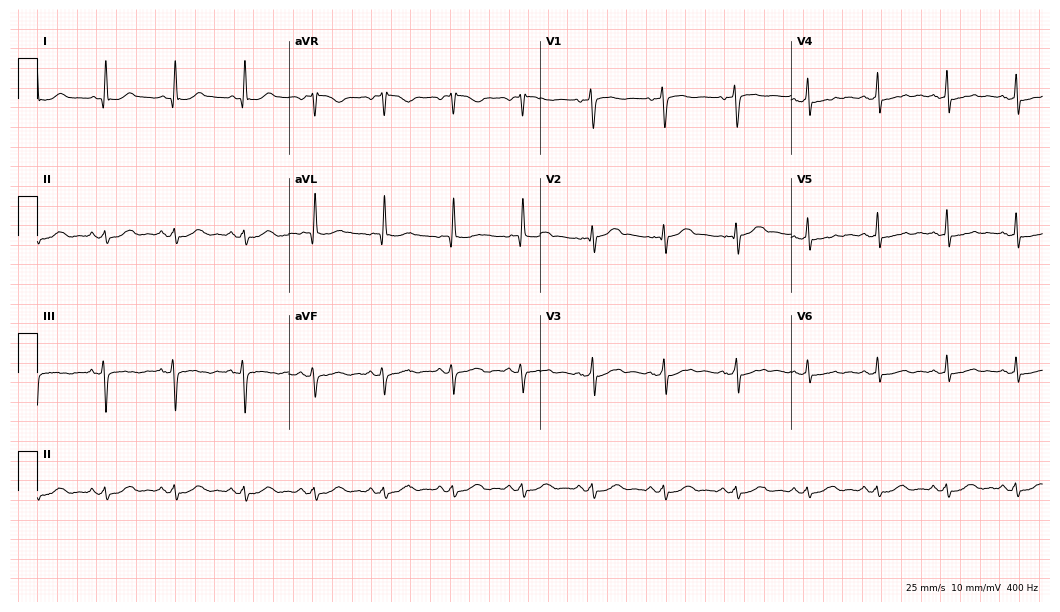
12-lead ECG from a 54-year-old male (10.2-second recording at 400 Hz). No first-degree AV block, right bundle branch block (RBBB), left bundle branch block (LBBB), sinus bradycardia, atrial fibrillation (AF) or sinus tachycardia recorded for this tracing.